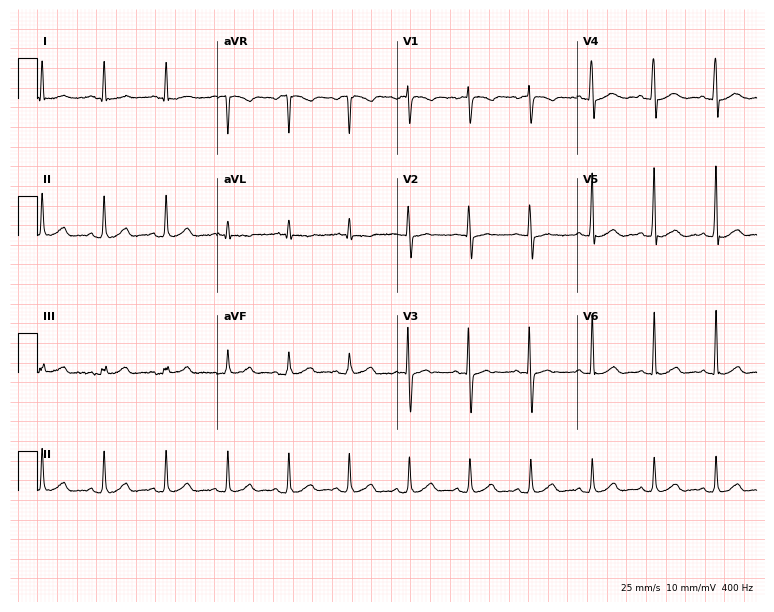
12-lead ECG from a 74-year-old woman. Labelled as a normal ECG.